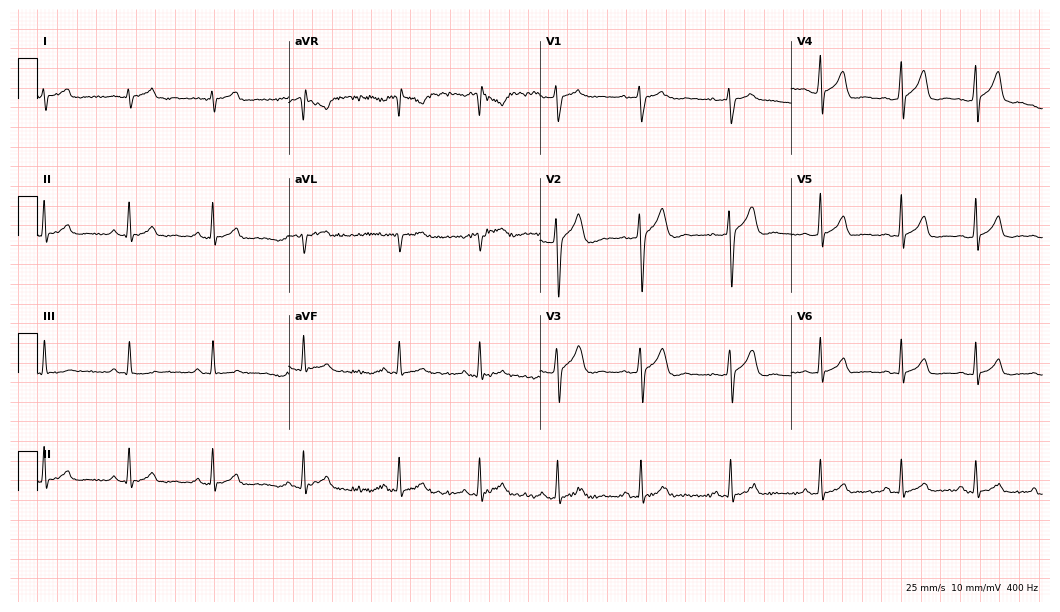
Resting 12-lead electrocardiogram. Patient: a male, 27 years old. None of these six findings is recorded: first-degree AV block, right bundle branch block (RBBB), left bundle branch block (LBBB), sinus bradycardia, atrial fibrillation (AF), sinus tachycardia. Only these six findings were labelled.